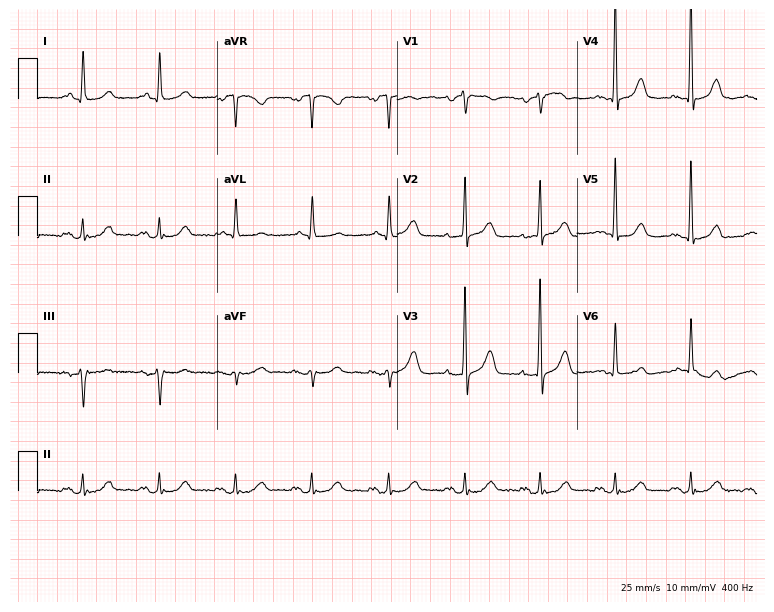
12-lead ECG from an 87-year-old female (7.3-second recording at 400 Hz). Recorded interpretation: within normal limits.